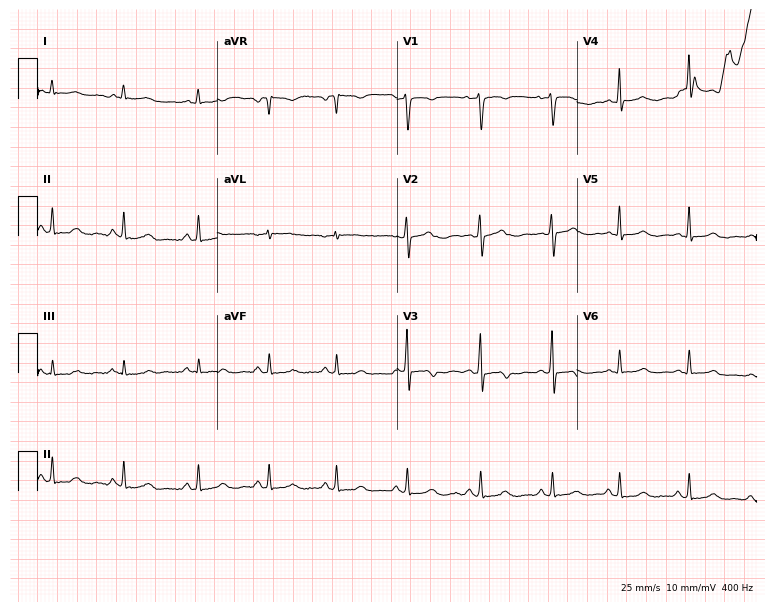
Resting 12-lead electrocardiogram. Patient: a female, 22 years old. None of these six findings is recorded: first-degree AV block, right bundle branch block, left bundle branch block, sinus bradycardia, atrial fibrillation, sinus tachycardia. Other findings, if any, are not listed.